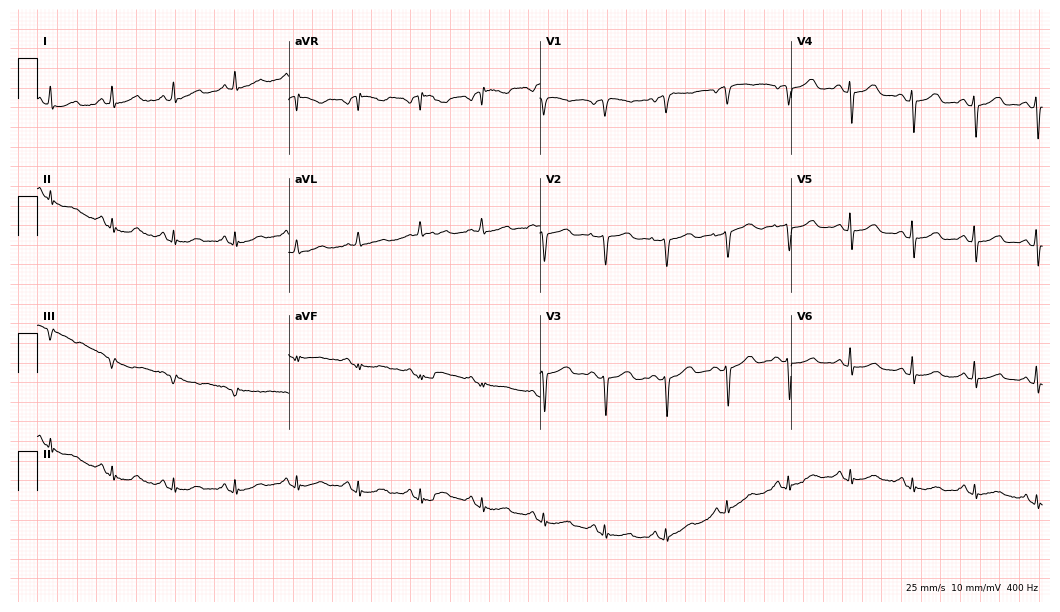
ECG (10.2-second recording at 400 Hz) — a 74-year-old woman. Labelled as a normal ECG.